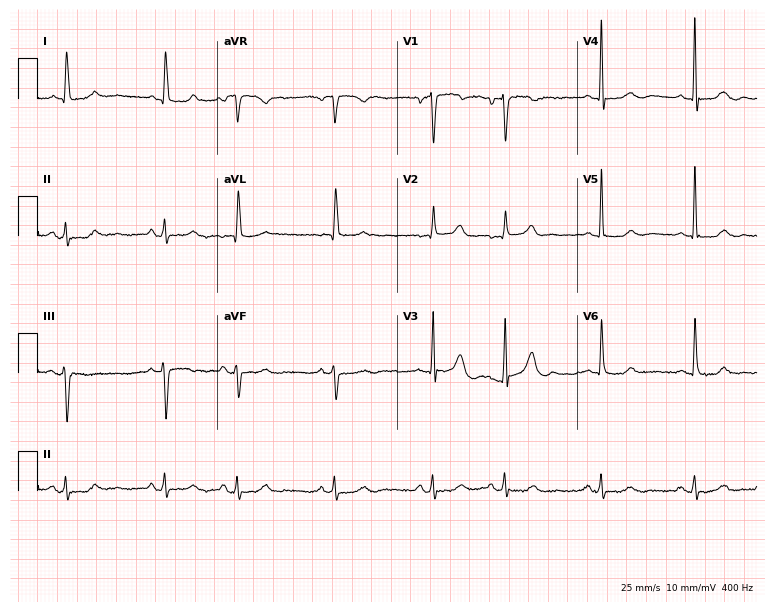
12-lead ECG from a female patient, 84 years old. Labelled as a normal ECG.